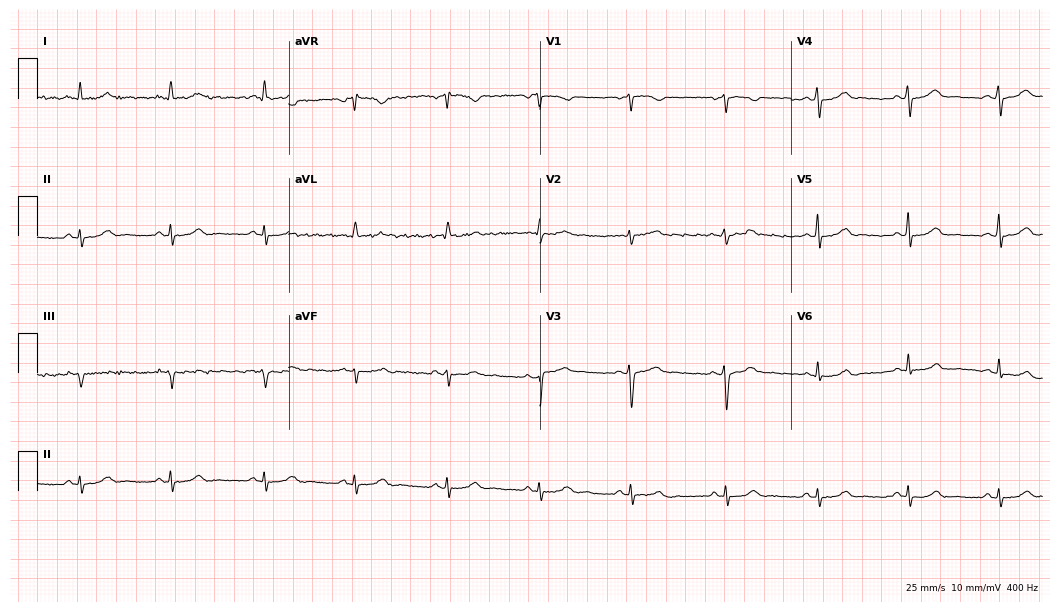
ECG — a 37-year-old female patient. Screened for six findings — first-degree AV block, right bundle branch block, left bundle branch block, sinus bradycardia, atrial fibrillation, sinus tachycardia — none is recorded. Other findings, if any, are not listed.